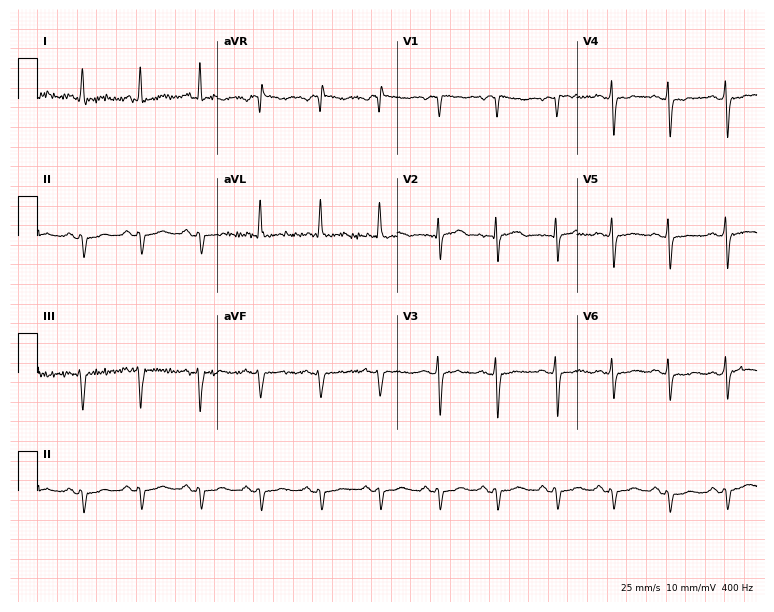
12-lead ECG (7.3-second recording at 400 Hz) from a 44-year-old female. Screened for six findings — first-degree AV block, right bundle branch block, left bundle branch block, sinus bradycardia, atrial fibrillation, sinus tachycardia — none is recorded.